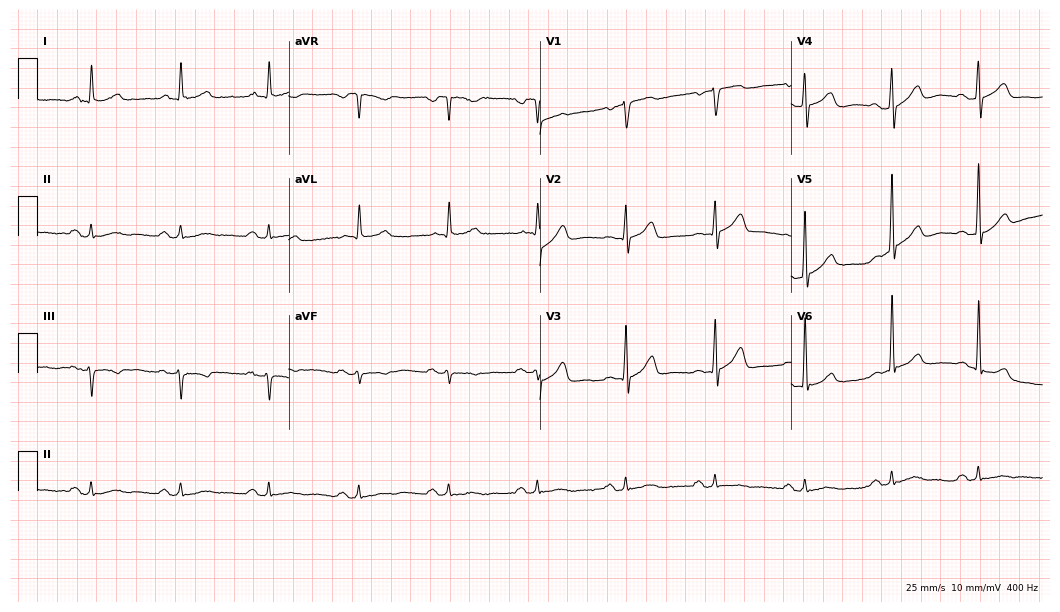
12-lead ECG from a 55-year-old man. Recorded interpretation: within normal limits.